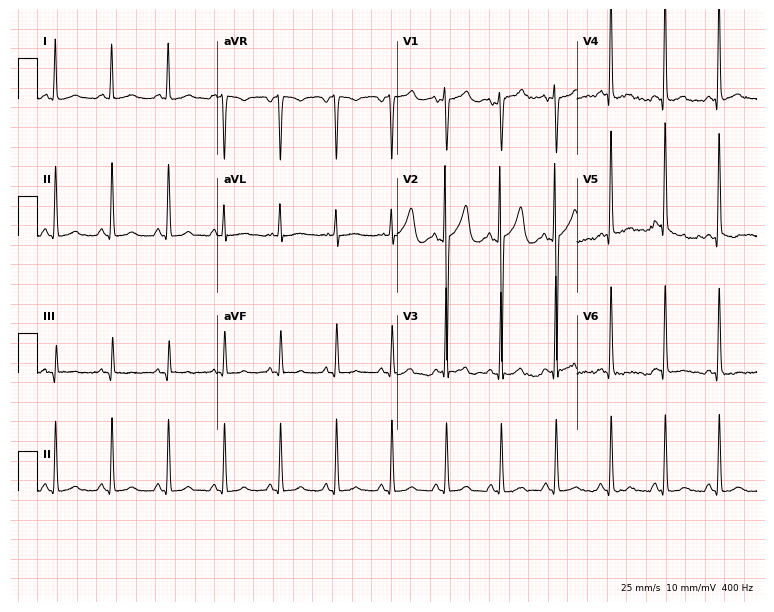
12-lead ECG from a man, 39 years old. No first-degree AV block, right bundle branch block, left bundle branch block, sinus bradycardia, atrial fibrillation or sinus tachycardia recorded for this tracing. Only these six findings were labelled.